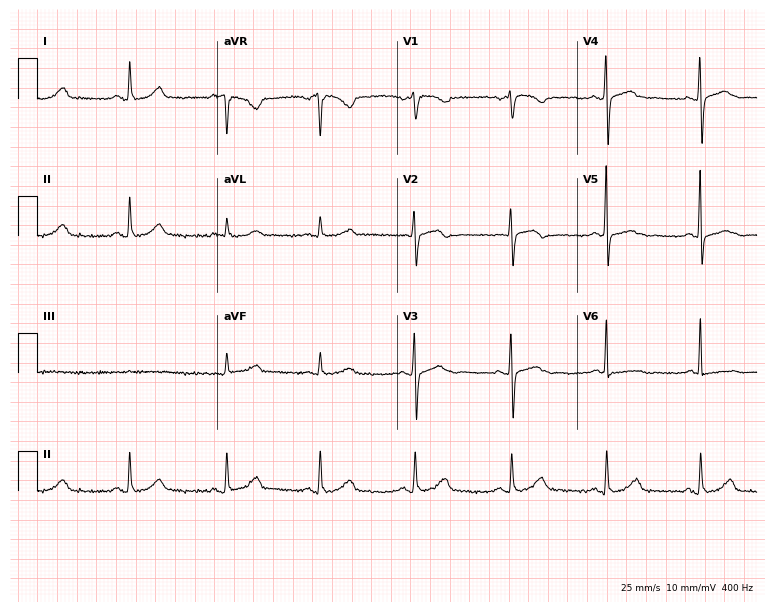
ECG — a 65-year-old female patient. Screened for six findings — first-degree AV block, right bundle branch block, left bundle branch block, sinus bradycardia, atrial fibrillation, sinus tachycardia — none is recorded.